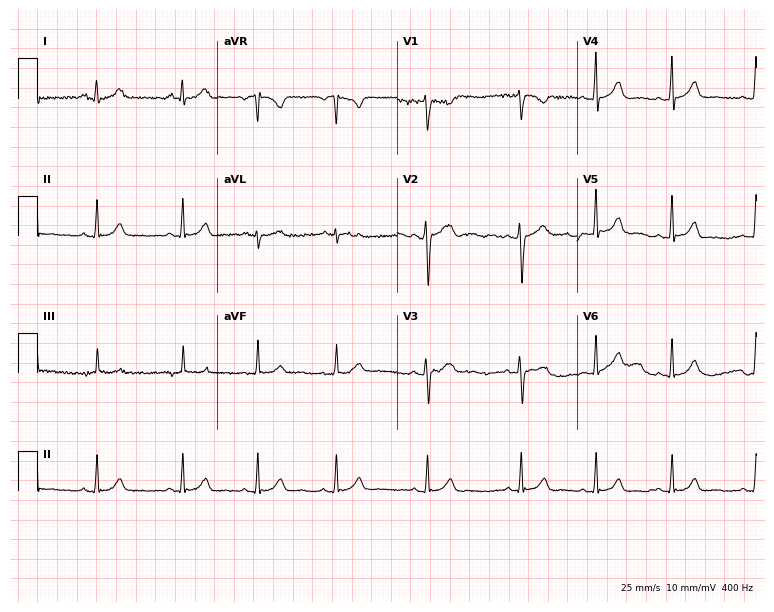
Electrocardiogram, a 20-year-old female. Of the six screened findings (first-degree AV block, right bundle branch block, left bundle branch block, sinus bradycardia, atrial fibrillation, sinus tachycardia), none is recorded.